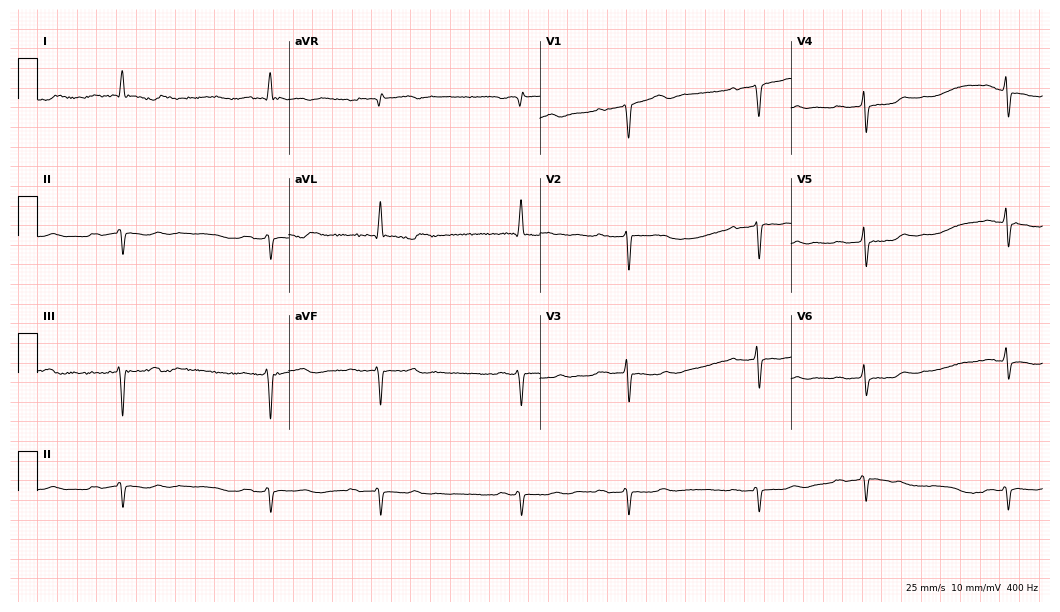
ECG — a male, 76 years old. Screened for six findings — first-degree AV block, right bundle branch block (RBBB), left bundle branch block (LBBB), sinus bradycardia, atrial fibrillation (AF), sinus tachycardia — none is recorded. Findings outside these six are not listed.